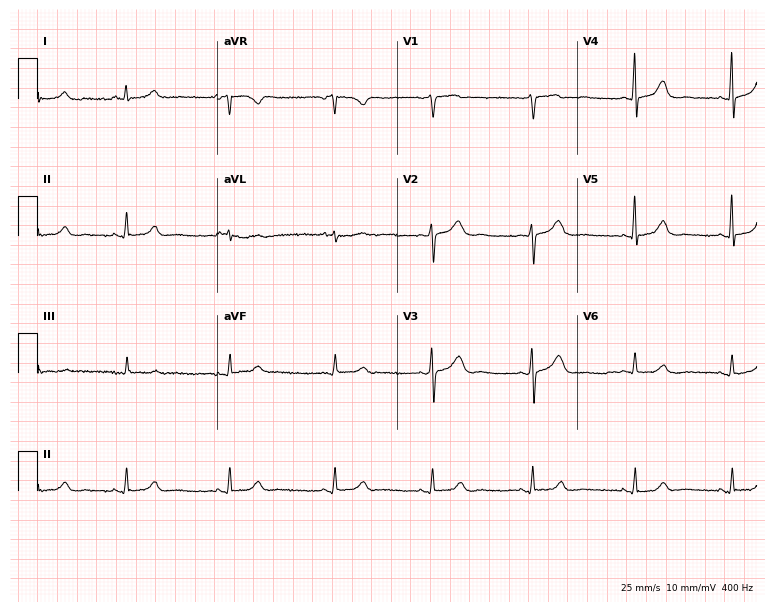
Resting 12-lead electrocardiogram (7.3-second recording at 400 Hz). Patient: a 57-year-old female. Read as a normal ECG.